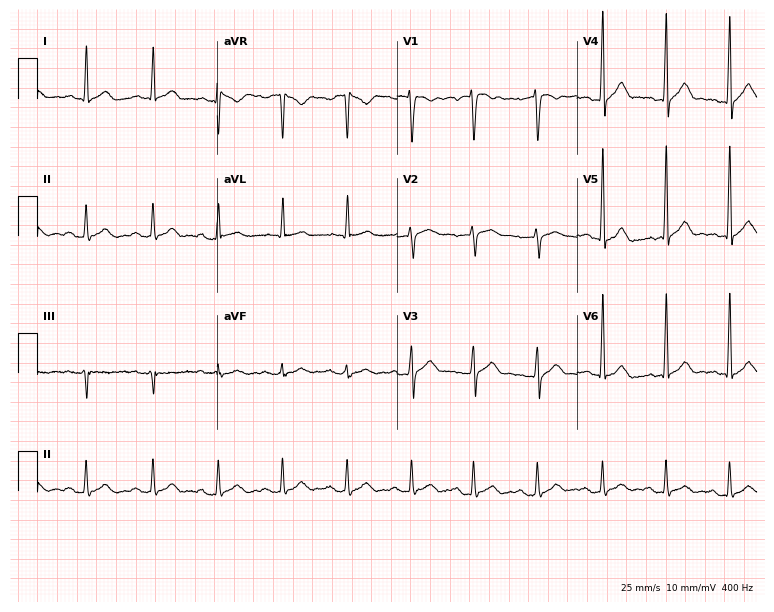
12-lead ECG from a 49-year-old male patient. Labelled as a normal ECG.